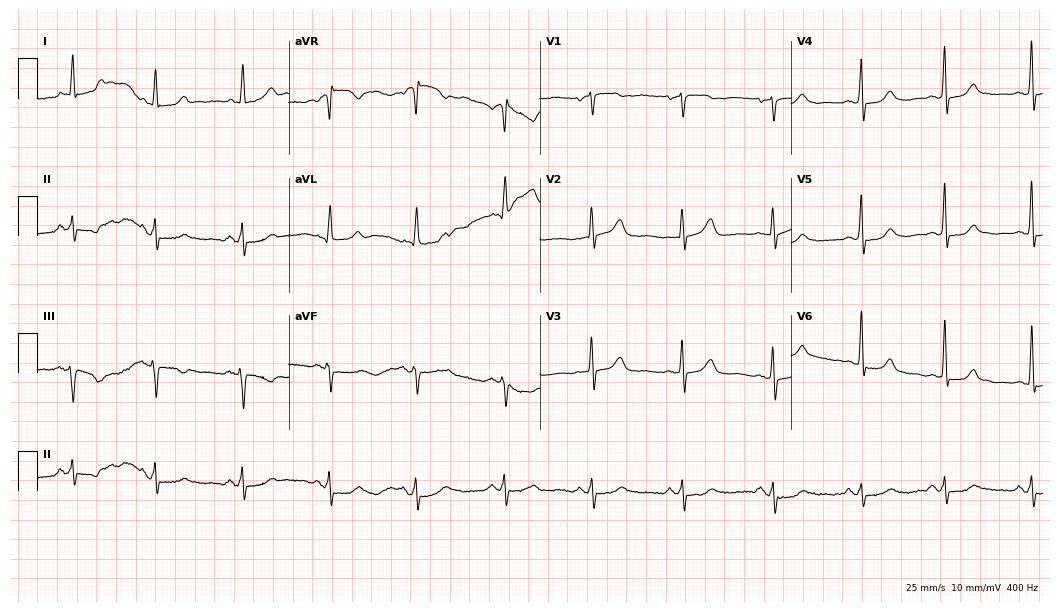
12-lead ECG from a woman, 69 years old. No first-degree AV block, right bundle branch block, left bundle branch block, sinus bradycardia, atrial fibrillation or sinus tachycardia recorded for this tracing. Only these six findings were labelled.